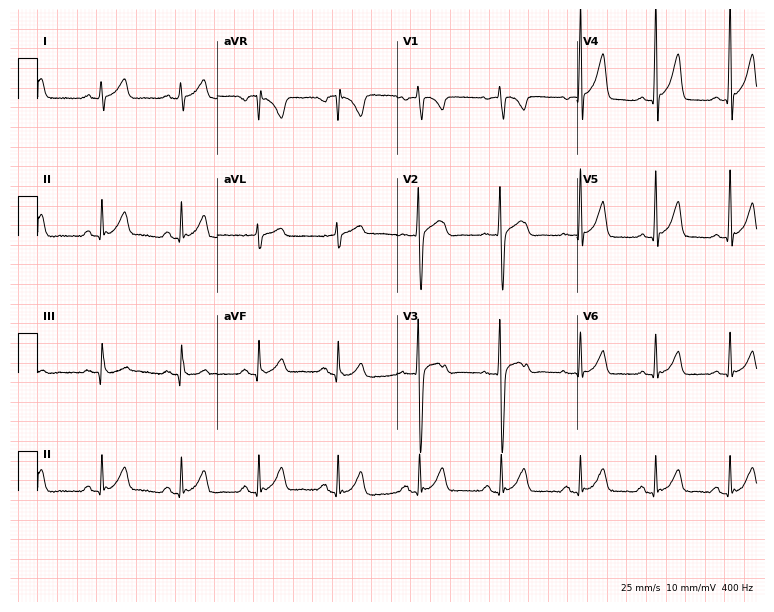
12-lead ECG from a male, 19 years old. Screened for six findings — first-degree AV block, right bundle branch block (RBBB), left bundle branch block (LBBB), sinus bradycardia, atrial fibrillation (AF), sinus tachycardia — none is recorded. Findings outside these six are not listed.